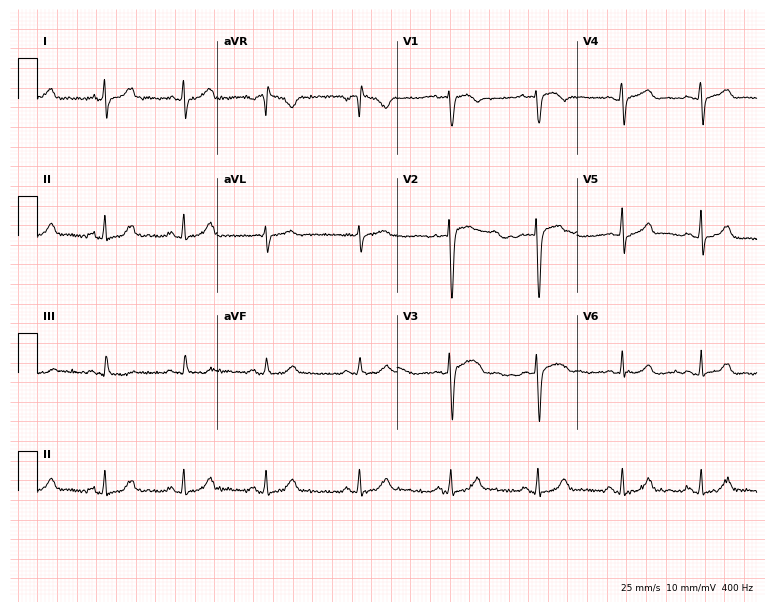
ECG (7.3-second recording at 400 Hz) — a female patient, 27 years old. Screened for six findings — first-degree AV block, right bundle branch block, left bundle branch block, sinus bradycardia, atrial fibrillation, sinus tachycardia — none is recorded.